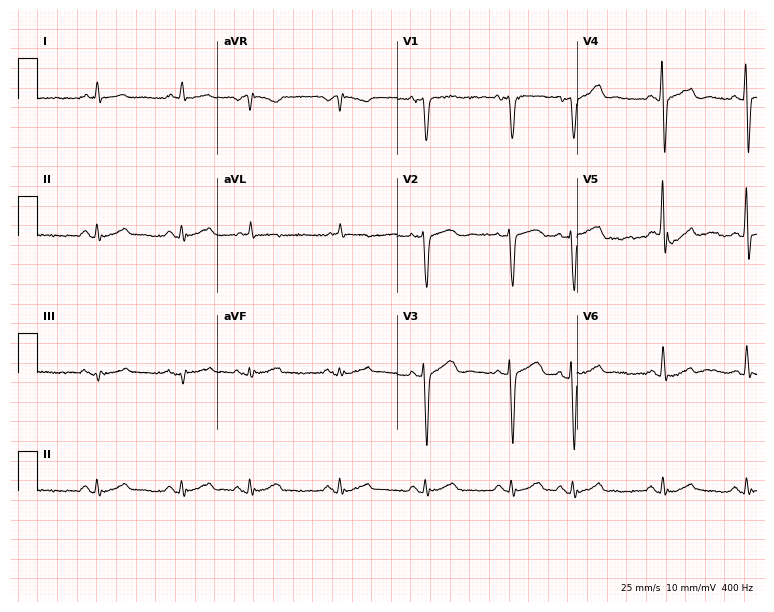
Electrocardiogram, a 77-year-old female patient. Of the six screened findings (first-degree AV block, right bundle branch block (RBBB), left bundle branch block (LBBB), sinus bradycardia, atrial fibrillation (AF), sinus tachycardia), none is recorded. Other findings, if any, are not listed.